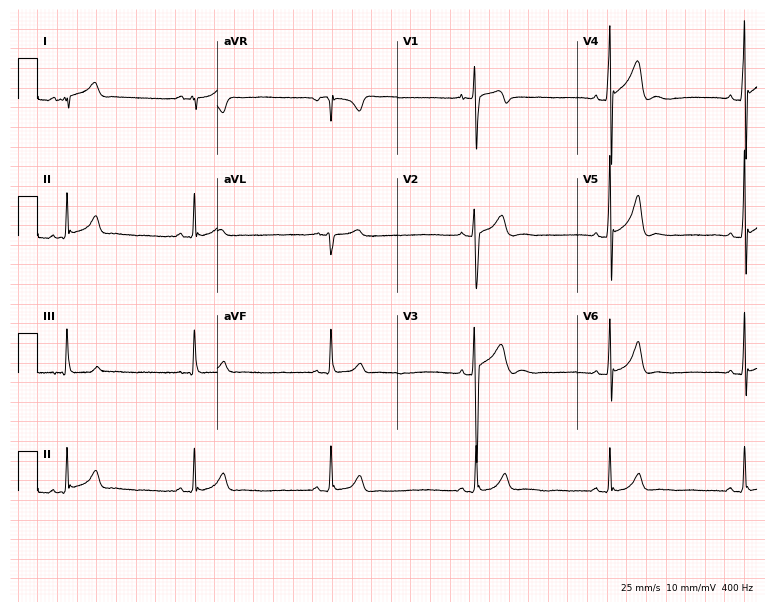
12-lead ECG (7.3-second recording at 400 Hz) from a 20-year-old male patient. Findings include sinus bradycardia (a sinus rate of 50 beats per minute or less).